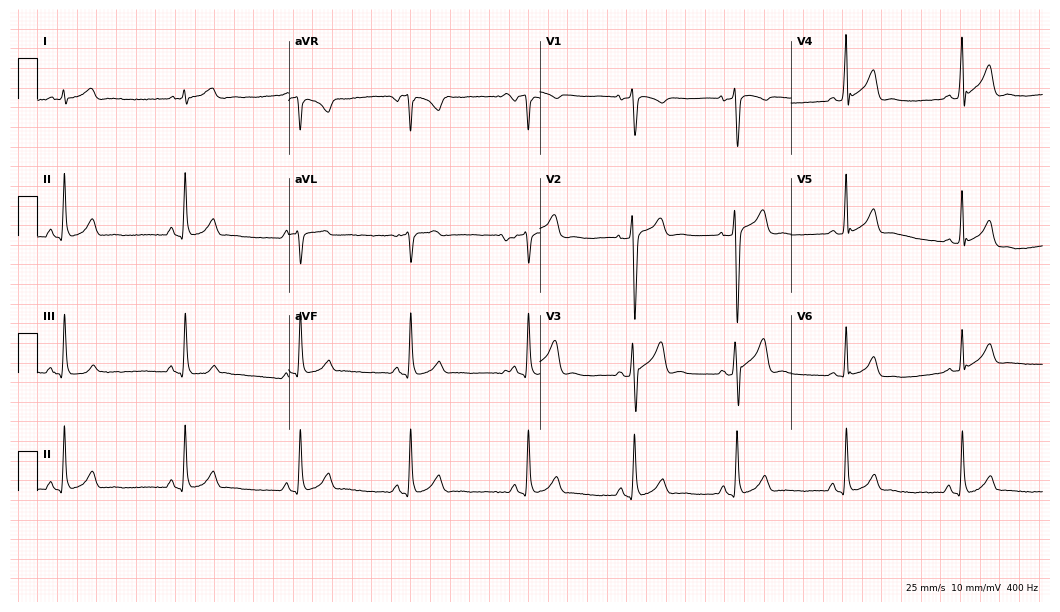
Standard 12-lead ECG recorded from a 23-year-old male (10.2-second recording at 400 Hz). None of these six findings is recorded: first-degree AV block, right bundle branch block (RBBB), left bundle branch block (LBBB), sinus bradycardia, atrial fibrillation (AF), sinus tachycardia. Other findings, if any, are not listed.